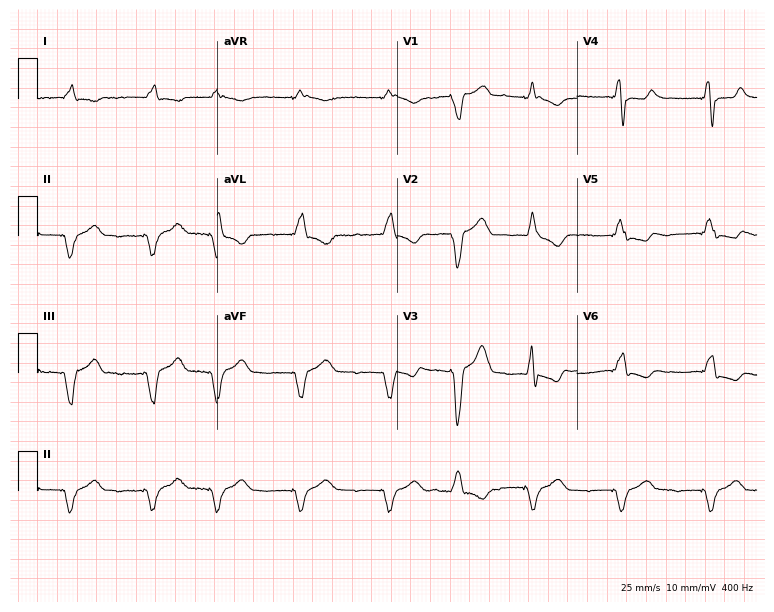
Electrocardiogram, an 86-year-old woman. Of the six screened findings (first-degree AV block, right bundle branch block (RBBB), left bundle branch block (LBBB), sinus bradycardia, atrial fibrillation (AF), sinus tachycardia), none is recorded. Other findings, if any, are not listed.